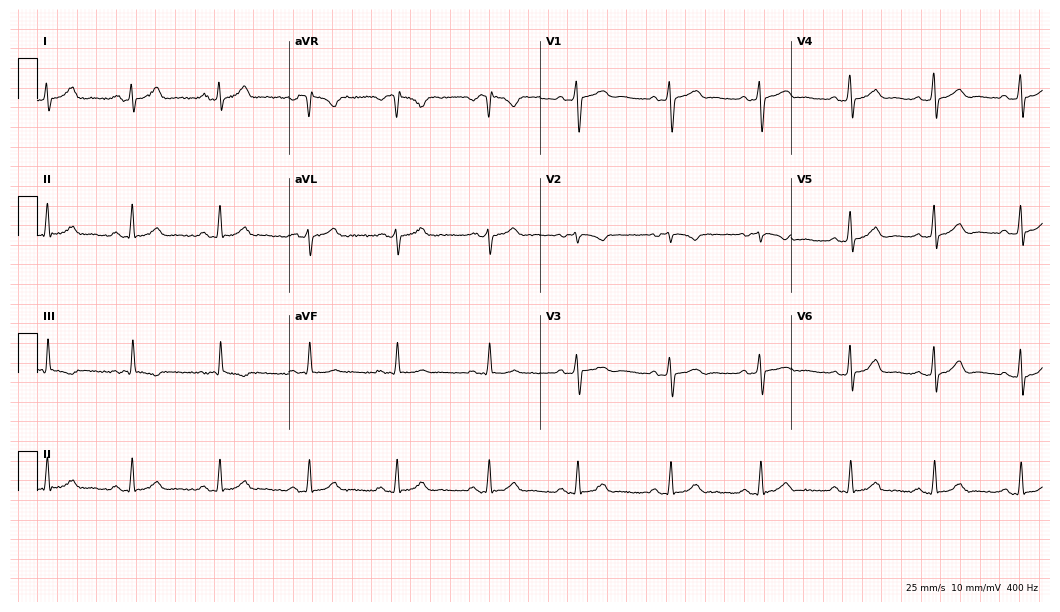
12-lead ECG from a 24-year-old female. Recorded interpretation: within normal limits.